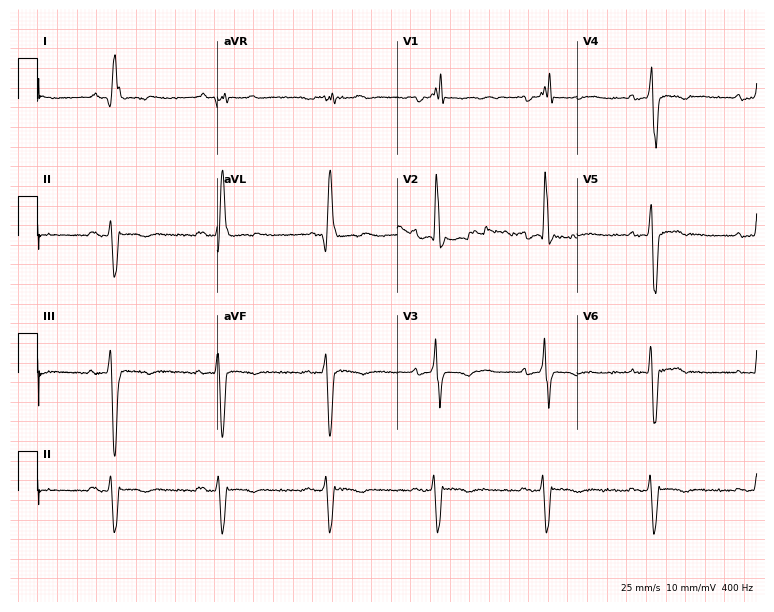
ECG — an 81-year-old male patient. Findings include right bundle branch block.